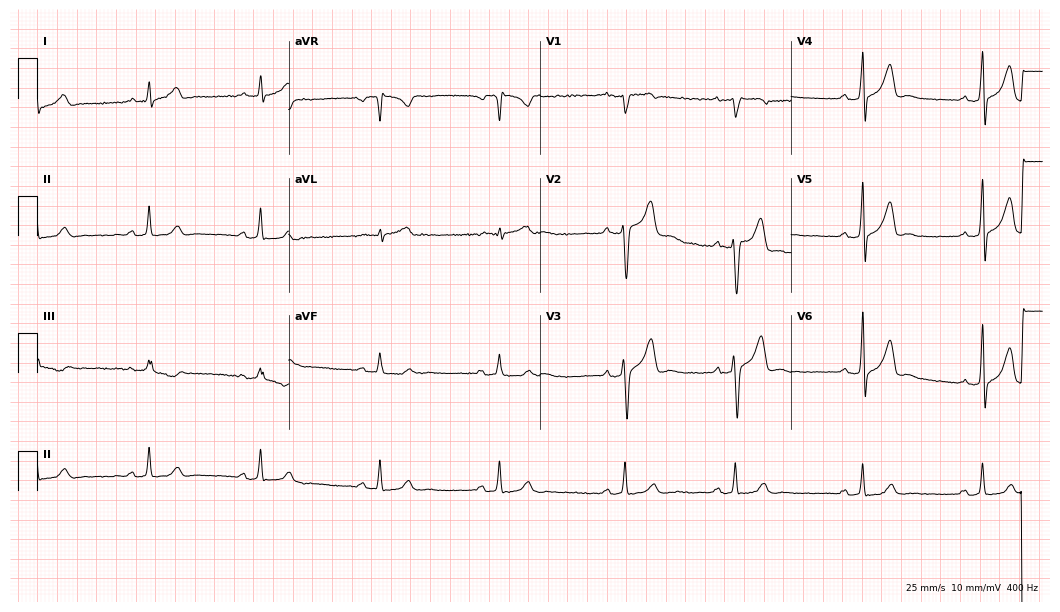
Electrocardiogram, a 26-year-old male patient. Overall reading on record: normal ECG.